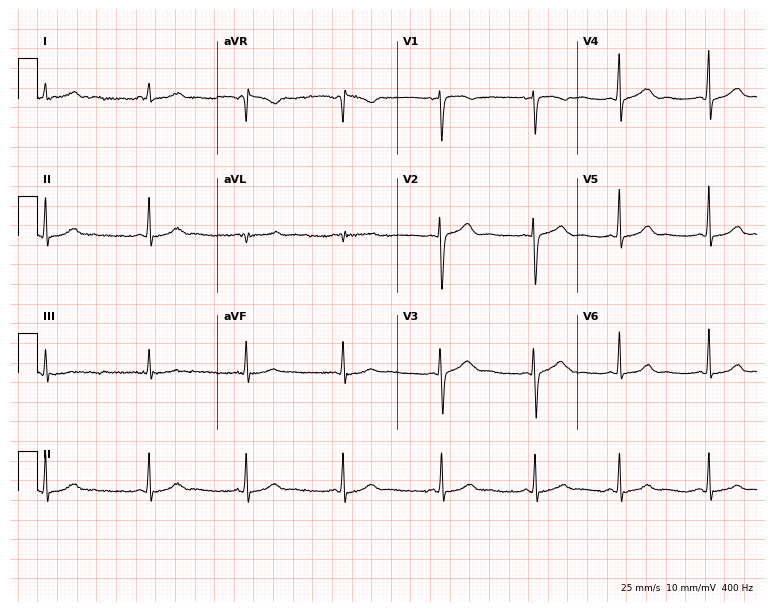
Electrocardiogram, a female, 25 years old. Overall reading on record: normal ECG.